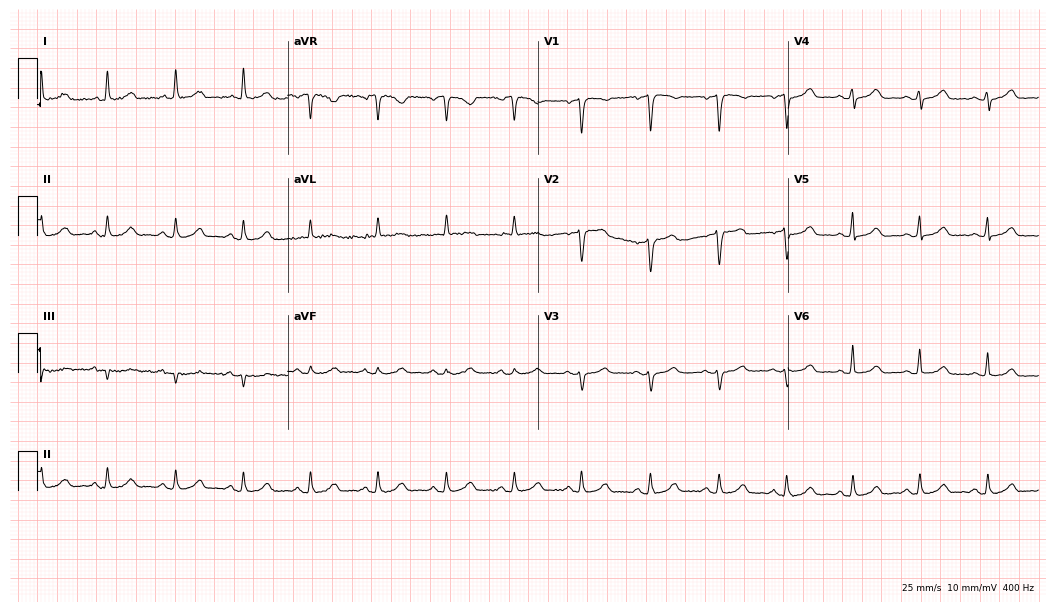
Standard 12-lead ECG recorded from a 52-year-old woman (10.2-second recording at 400 Hz). Read as a normal ECG.